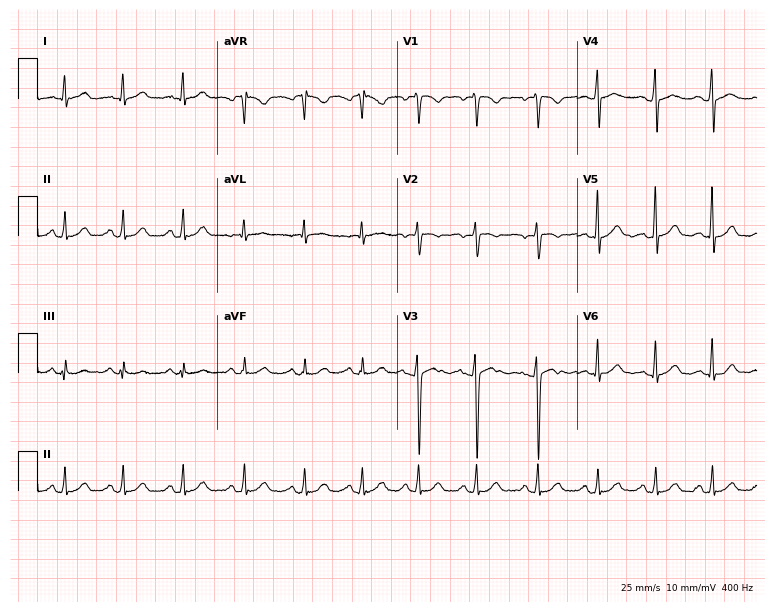
ECG (7.3-second recording at 400 Hz) — a female patient, 26 years old. Findings include sinus tachycardia (a sinus rate of 100 beats per minute or more).